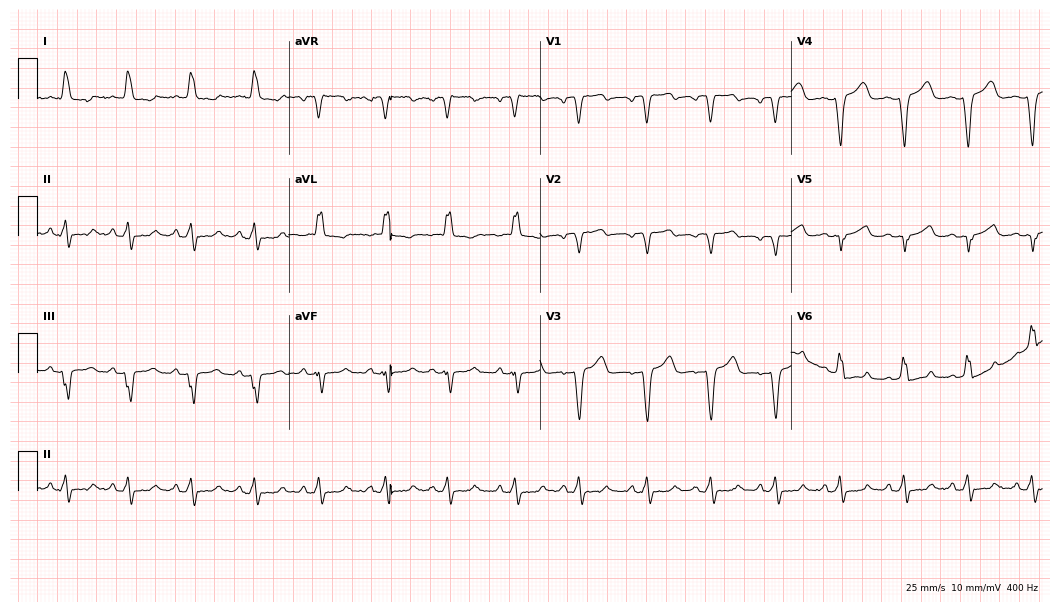
12-lead ECG from a 66-year-old male patient (10.2-second recording at 400 Hz). Shows left bundle branch block.